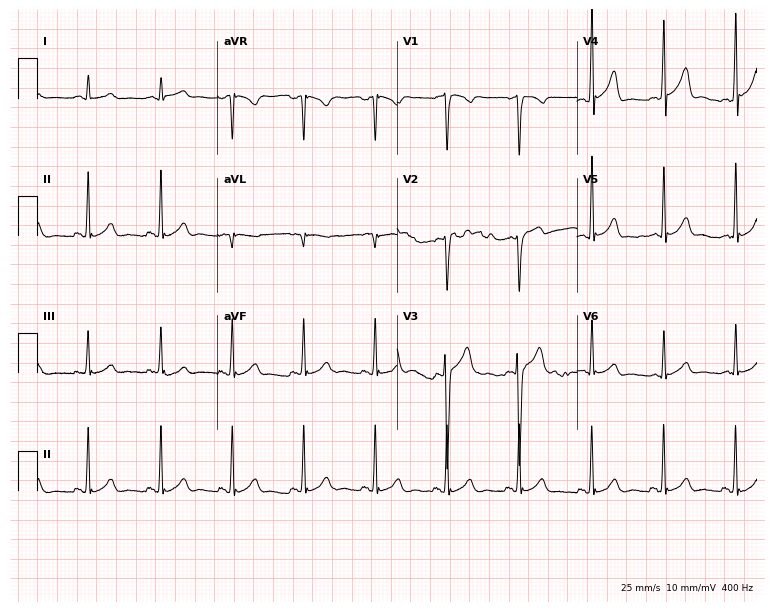
Resting 12-lead electrocardiogram (7.3-second recording at 400 Hz). Patient: a 49-year-old male. Read as a normal ECG.